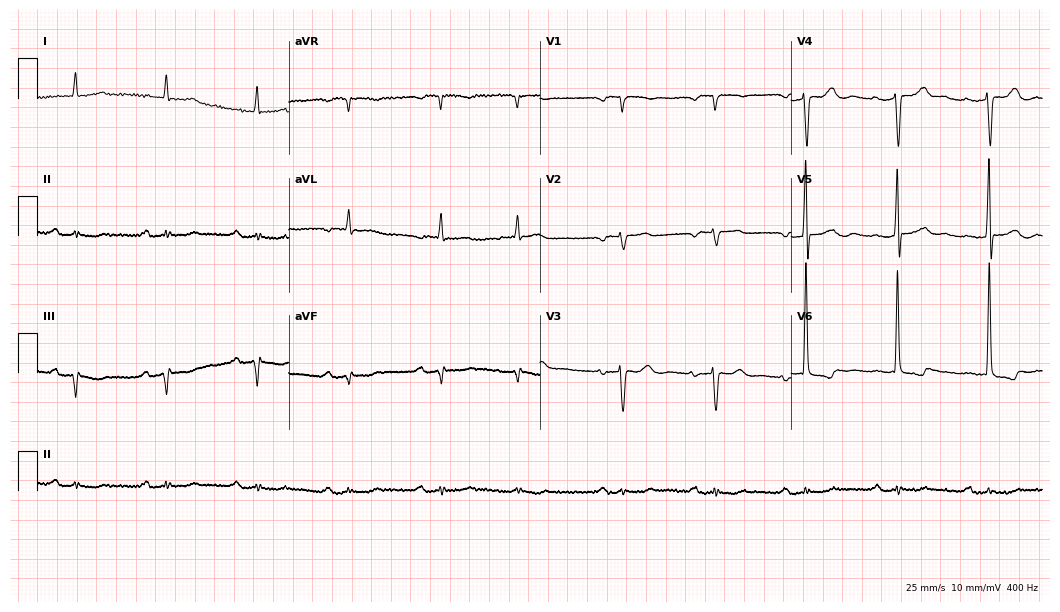
ECG — a female, 80 years old. Screened for six findings — first-degree AV block, right bundle branch block (RBBB), left bundle branch block (LBBB), sinus bradycardia, atrial fibrillation (AF), sinus tachycardia — none is recorded. Other findings, if any, are not listed.